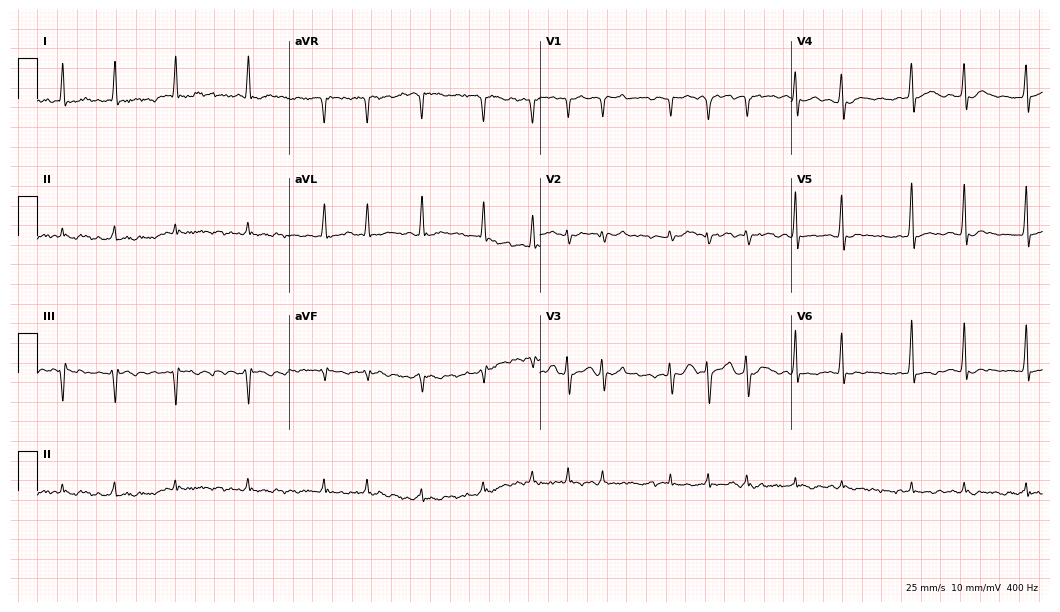
ECG — a 58-year-old male. Findings include atrial fibrillation.